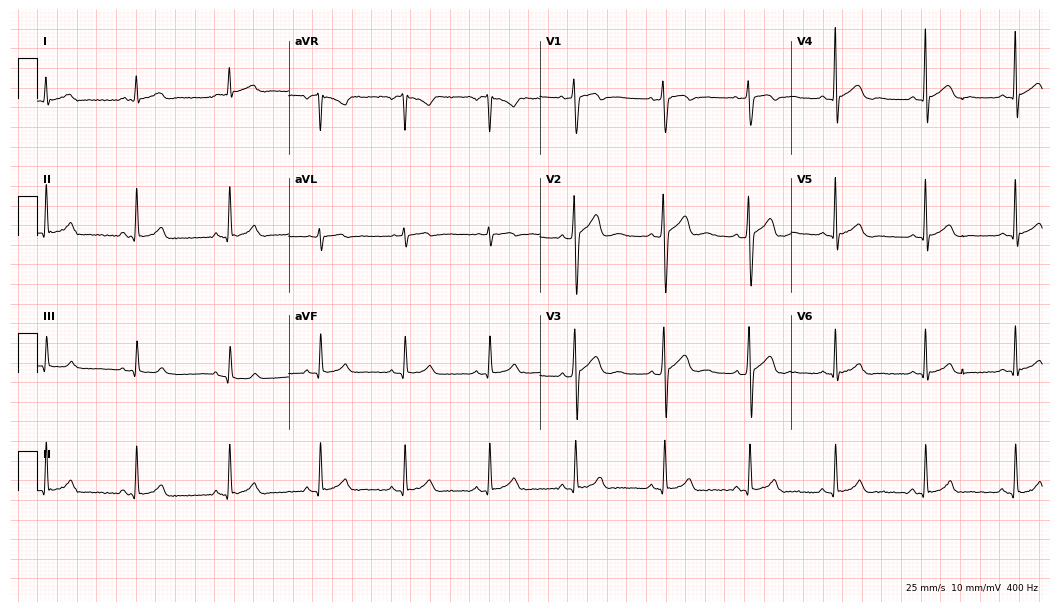
12-lead ECG from a male patient, 21 years old (10.2-second recording at 400 Hz). Recorded interpretation: within normal limits.